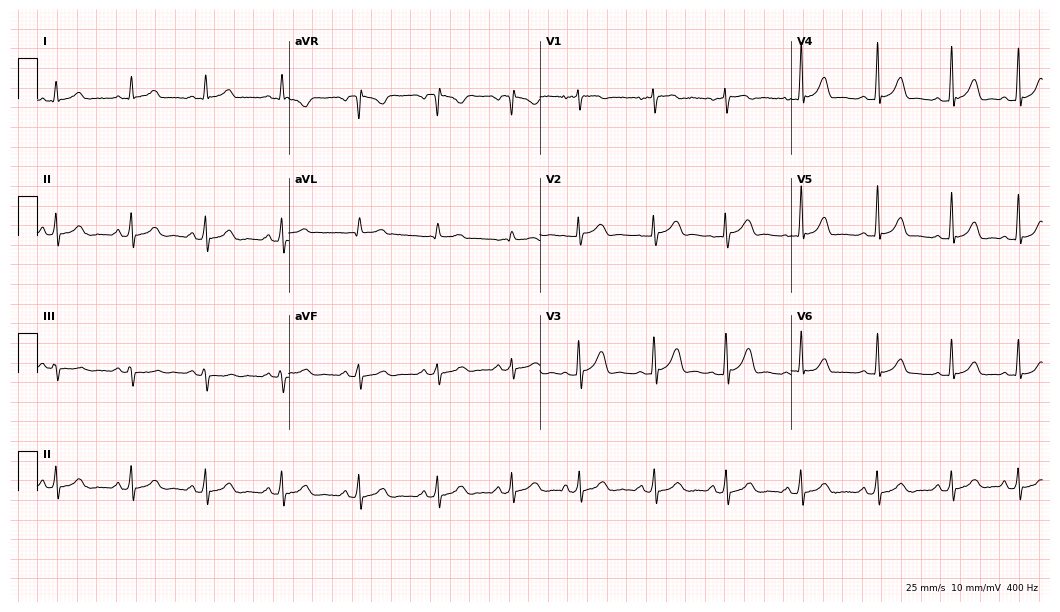
Standard 12-lead ECG recorded from a woman, 29 years old. Read as a normal ECG.